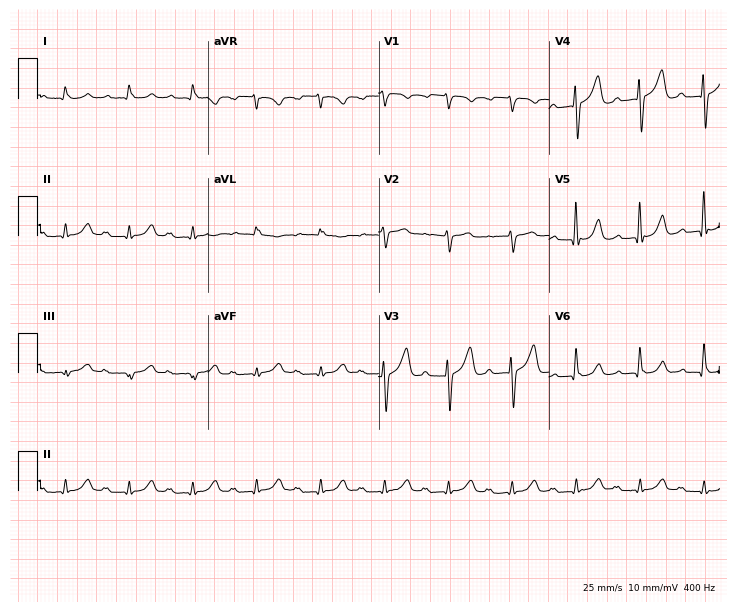
12-lead ECG from an 81-year-old man. No first-degree AV block, right bundle branch block (RBBB), left bundle branch block (LBBB), sinus bradycardia, atrial fibrillation (AF) or sinus tachycardia recorded for this tracing.